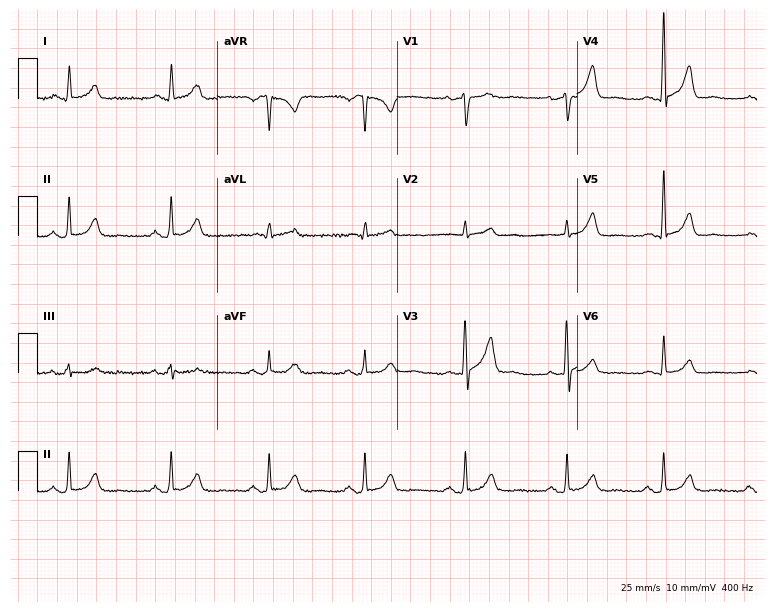
Electrocardiogram, a 45-year-old male. Overall reading on record: normal ECG.